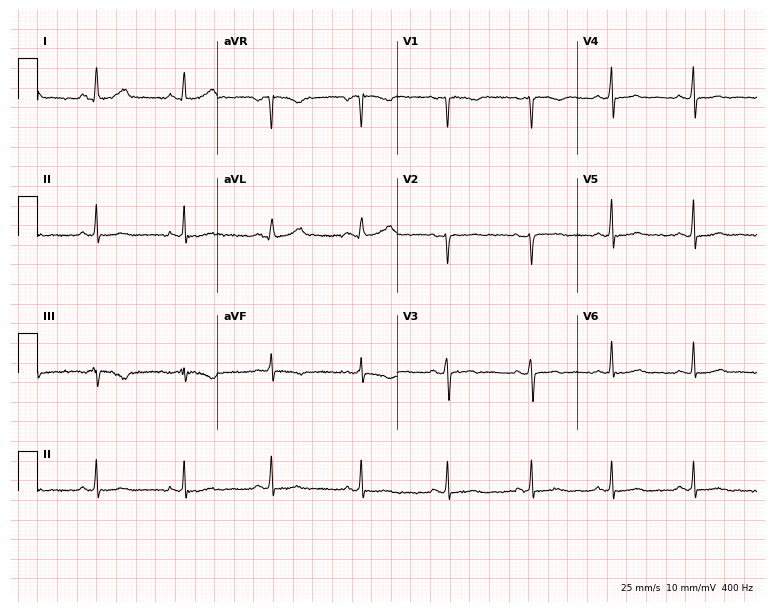
Resting 12-lead electrocardiogram (7.3-second recording at 400 Hz). Patient: a 37-year-old woman. Read as a normal ECG.